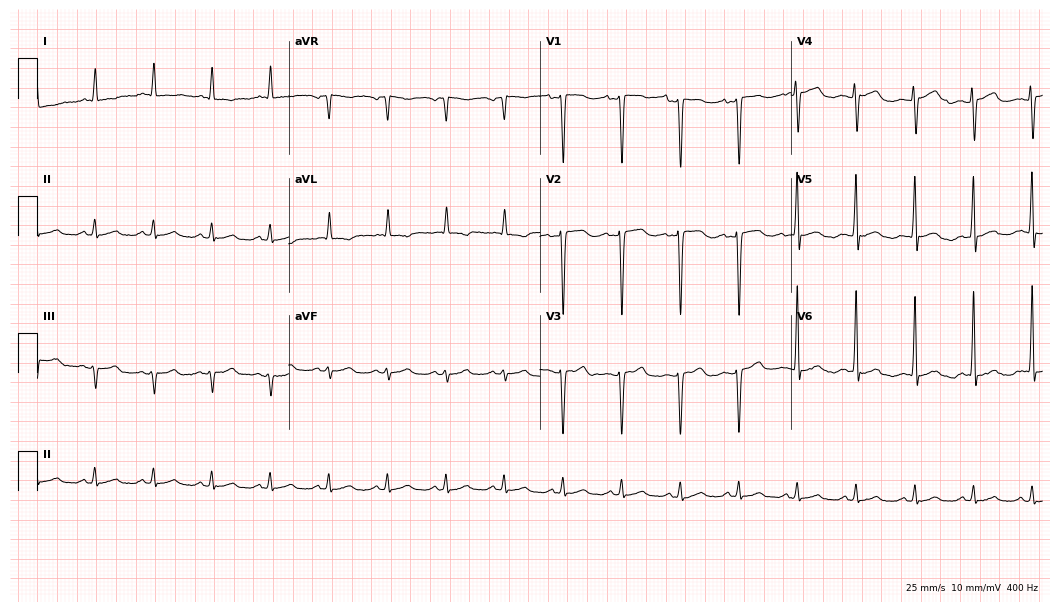
Standard 12-lead ECG recorded from a 51-year-old man. None of these six findings is recorded: first-degree AV block, right bundle branch block, left bundle branch block, sinus bradycardia, atrial fibrillation, sinus tachycardia.